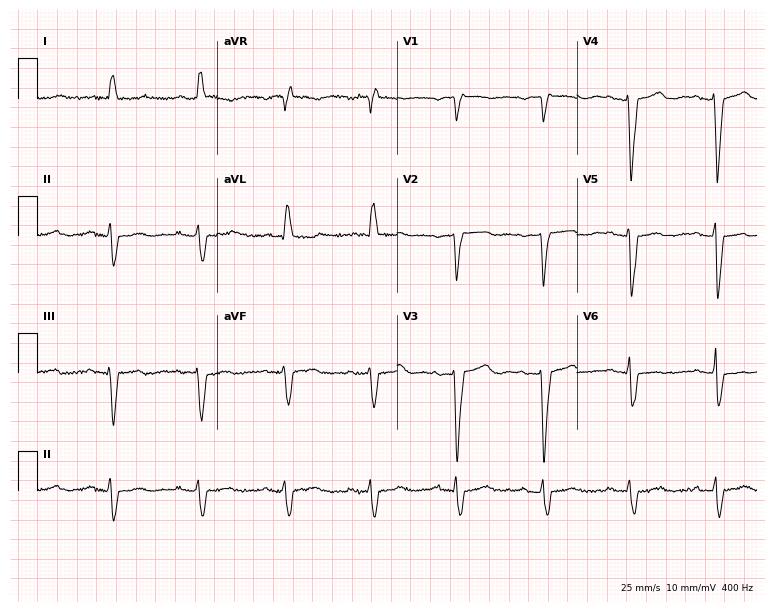
Standard 12-lead ECG recorded from a 61-year-old female. None of these six findings is recorded: first-degree AV block, right bundle branch block (RBBB), left bundle branch block (LBBB), sinus bradycardia, atrial fibrillation (AF), sinus tachycardia.